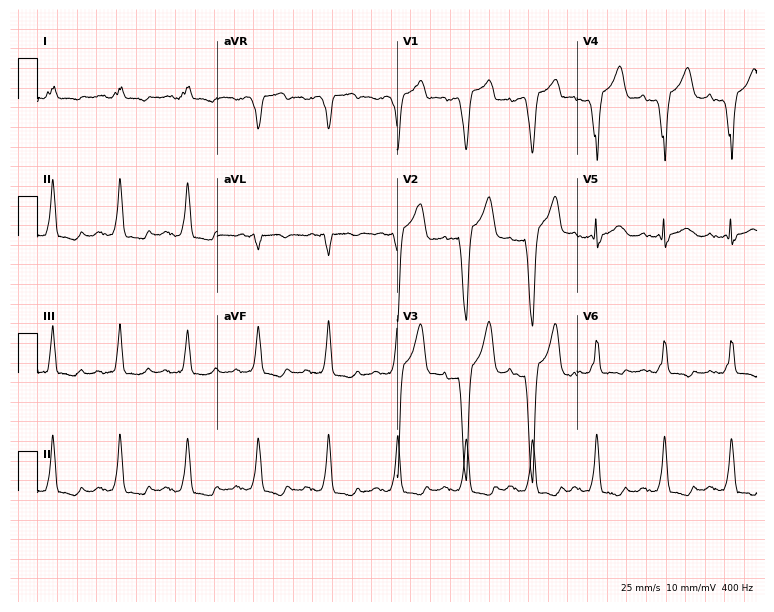
12-lead ECG (7.3-second recording at 400 Hz) from a female, 77 years old. Findings include left bundle branch block.